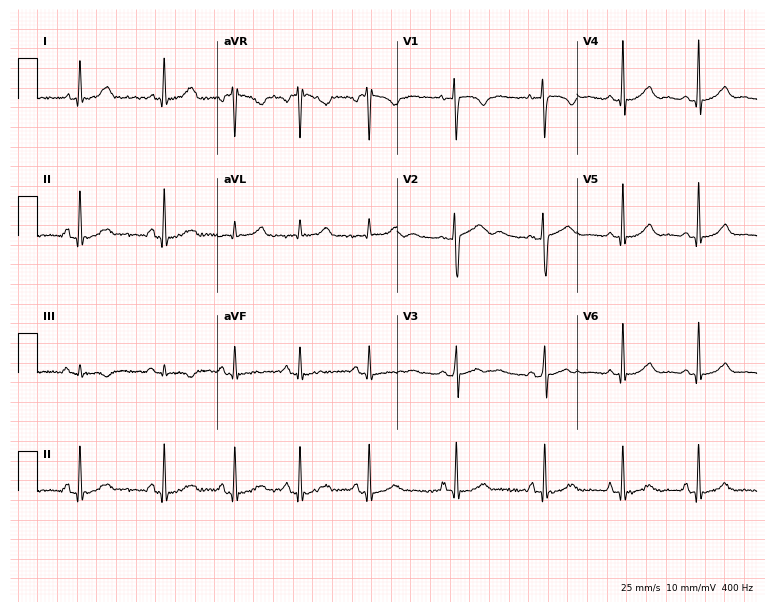
ECG (7.3-second recording at 400 Hz) — a 20-year-old woman. Screened for six findings — first-degree AV block, right bundle branch block, left bundle branch block, sinus bradycardia, atrial fibrillation, sinus tachycardia — none is recorded. Other findings, if any, are not listed.